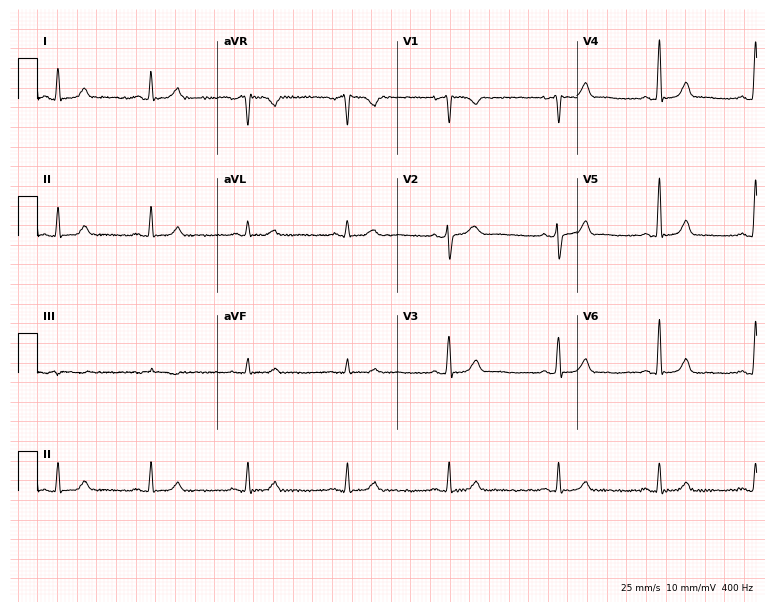
Electrocardiogram, a 41-year-old man. Of the six screened findings (first-degree AV block, right bundle branch block (RBBB), left bundle branch block (LBBB), sinus bradycardia, atrial fibrillation (AF), sinus tachycardia), none is recorded.